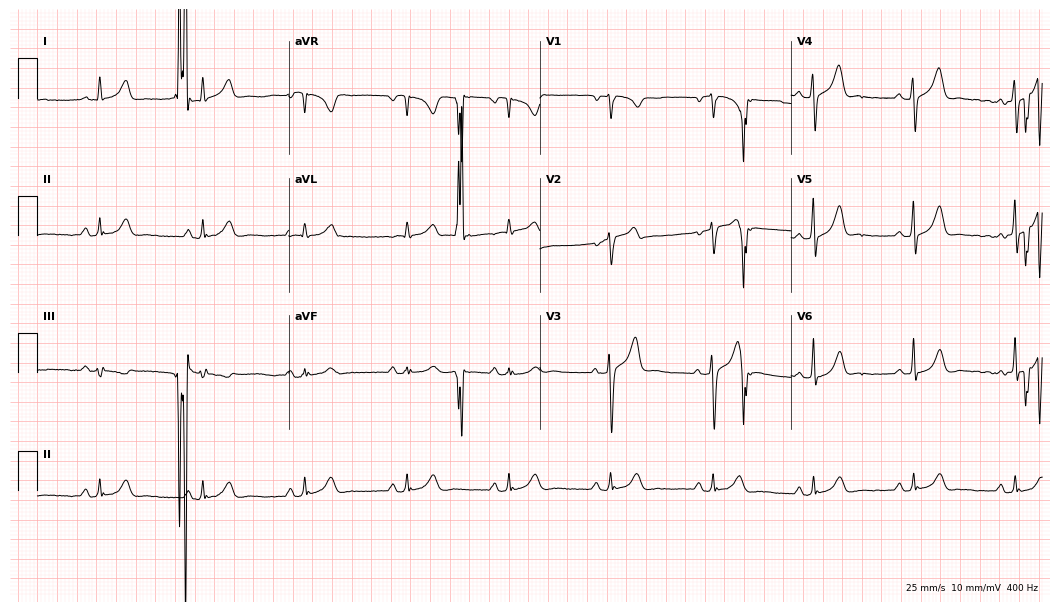
Standard 12-lead ECG recorded from a 61-year-old male. Read as a normal ECG.